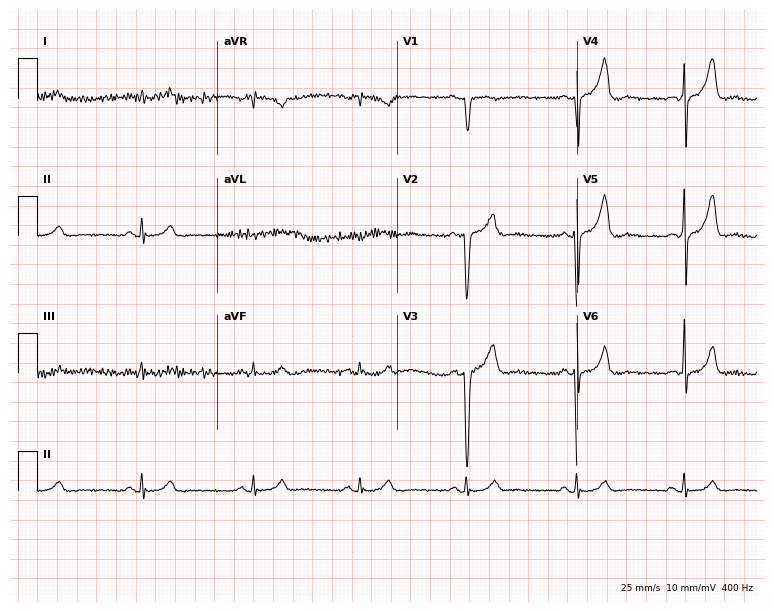
Standard 12-lead ECG recorded from a male patient, 62 years old. None of these six findings is recorded: first-degree AV block, right bundle branch block, left bundle branch block, sinus bradycardia, atrial fibrillation, sinus tachycardia.